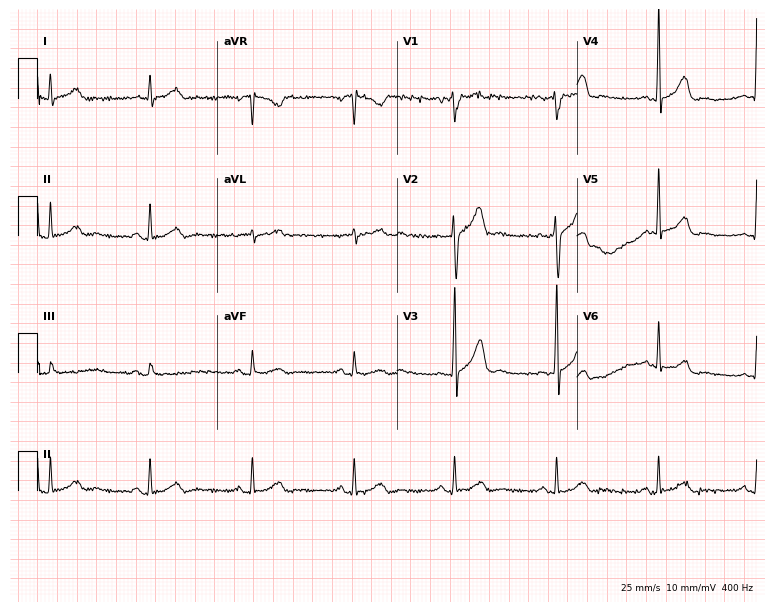
12-lead ECG (7.3-second recording at 400 Hz) from a man, 40 years old. Labelled as a normal ECG.